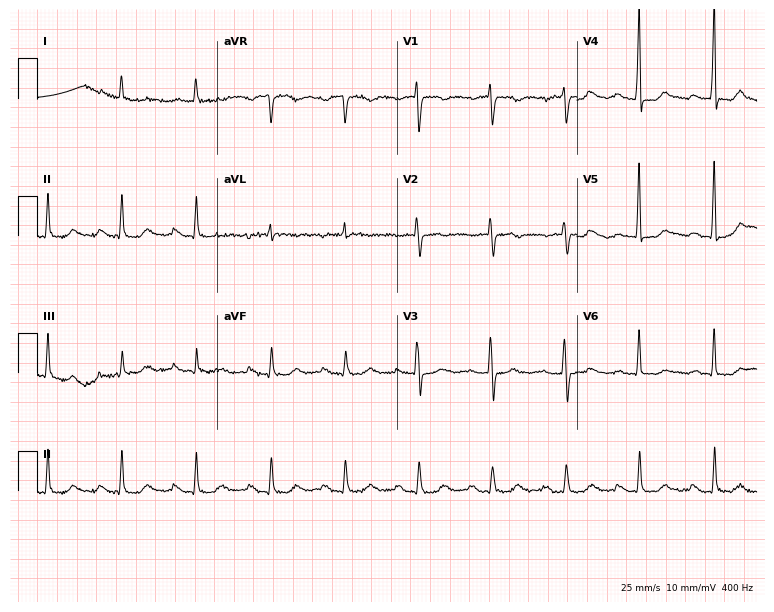
12-lead ECG (7.3-second recording at 400 Hz) from an 83-year-old woman. Screened for six findings — first-degree AV block, right bundle branch block, left bundle branch block, sinus bradycardia, atrial fibrillation, sinus tachycardia — none is recorded. Only these six findings were labelled.